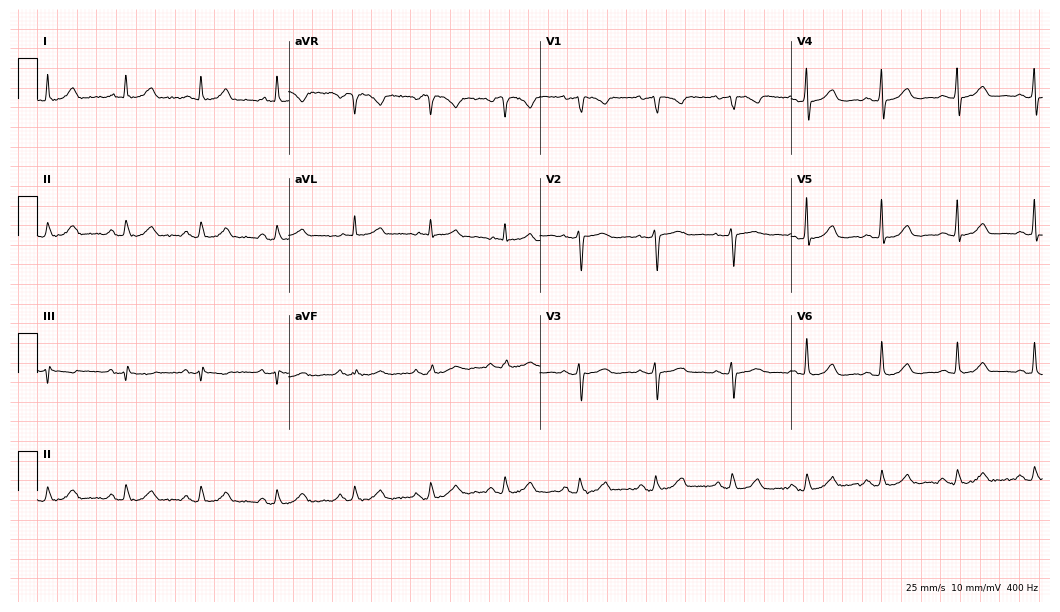
12-lead ECG from a female, 70 years old. Recorded interpretation: within normal limits.